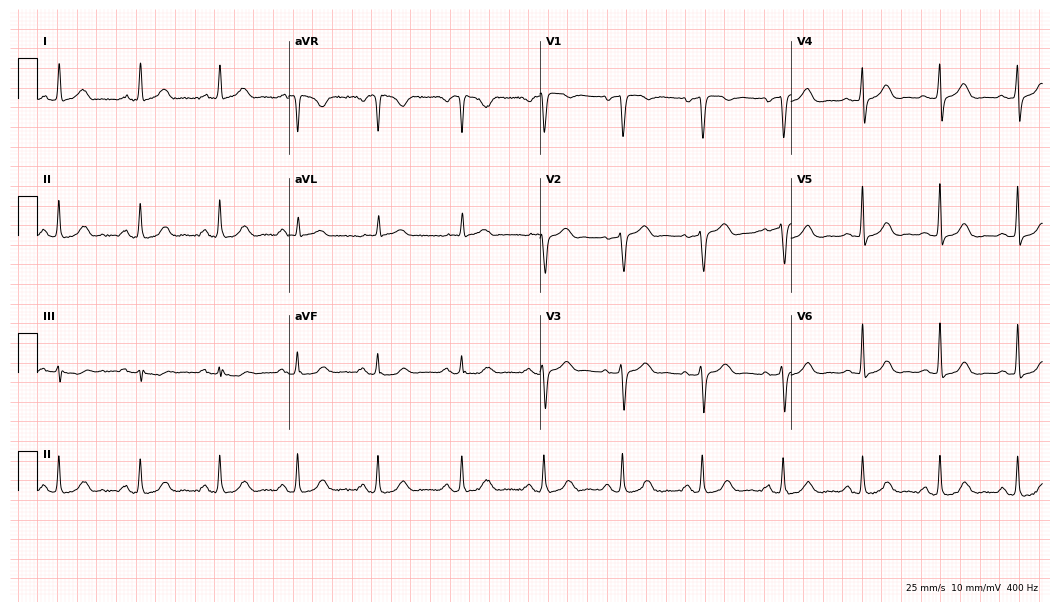
Resting 12-lead electrocardiogram. Patient: a 65-year-old female. None of these six findings is recorded: first-degree AV block, right bundle branch block (RBBB), left bundle branch block (LBBB), sinus bradycardia, atrial fibrillation (AF), sinus tachycardia.